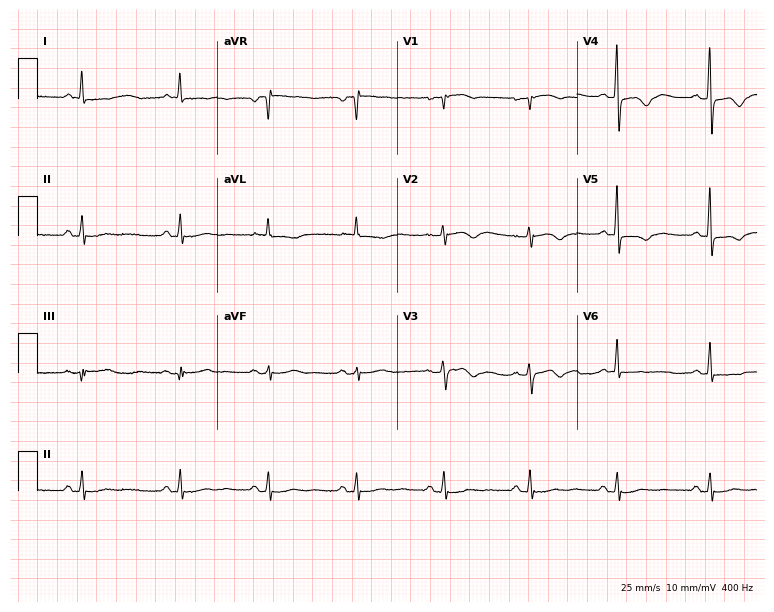
12-lead ECG from a female patient, 72 years old. Screened for six findings — first-degree AV block, right bundle branch block (RBBB), left bundle branch block (LBBB), sinus bradycardia, atrial fibrillation (AF), sinus tachycardia — none is recorded.